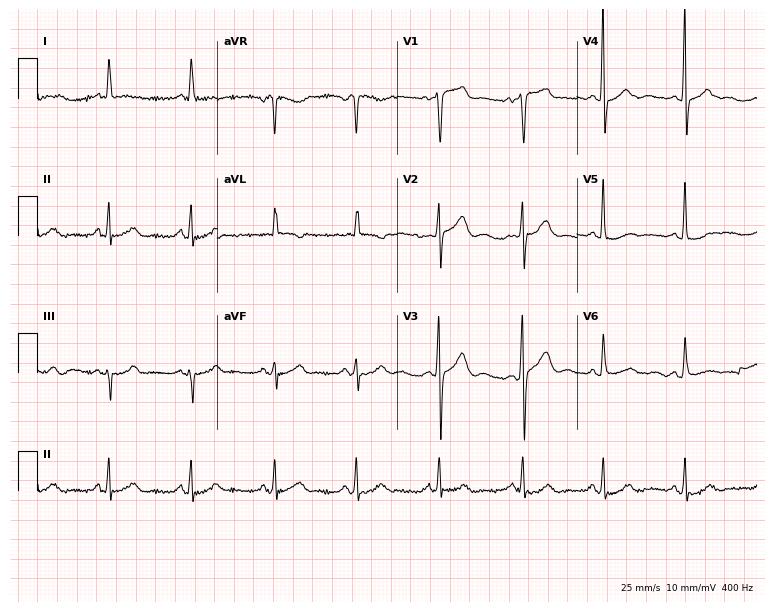
12-lead ECG from a female, 74 years old. Recorded interpretation: within normal limits.